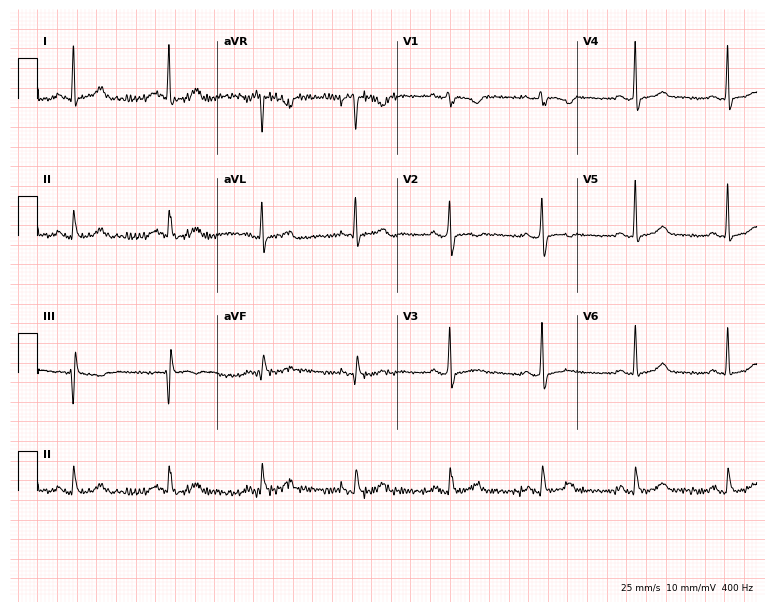
Resting 12-lead electrocardiogram (7.3-second recording at 400 Hz). Patient: a 51-year-old female. Read as a normal ECG.